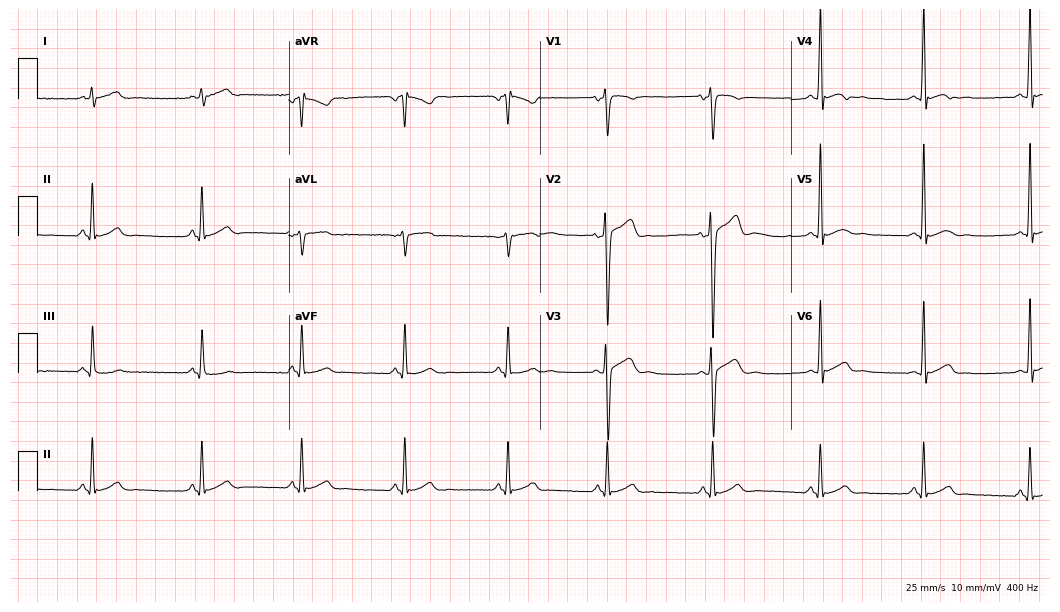
Standard 12-lead ECG recorded from a male patient, 17 years old (10.2-second recording at 400 Hz). Read as a normal ECG.